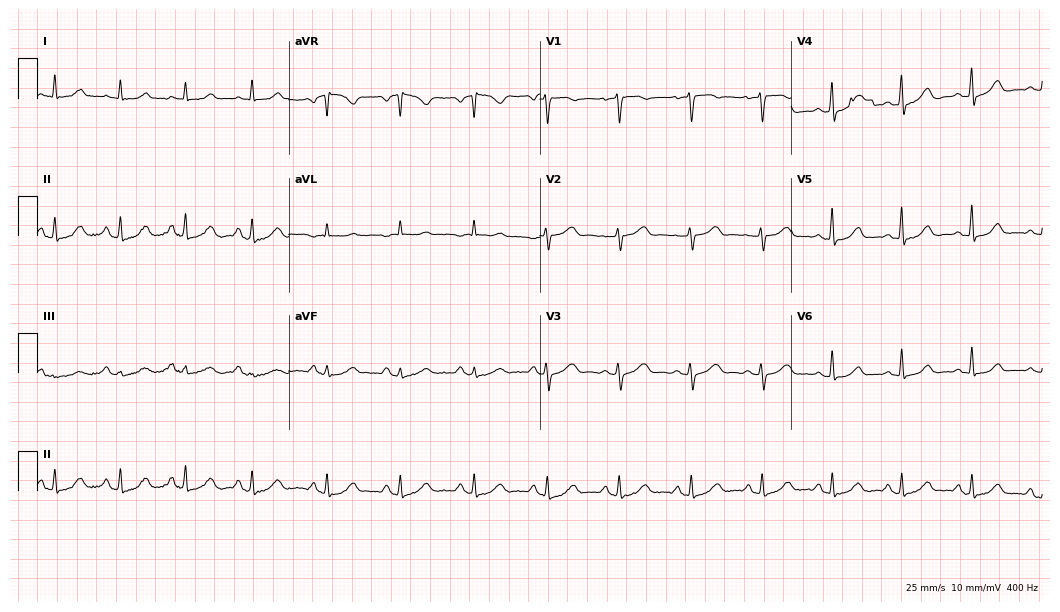
Resting 12-lead electrocardiogram (10.2-second recording at 400 Hz). Patient: a 60-year-old female. None of these six findings is recorded: first-degree AV block, right bundle branch block, left bundle branch block, sinus bradycardia, atrial fibrillation, sinus tachycardia. Only these six findings were labelled.